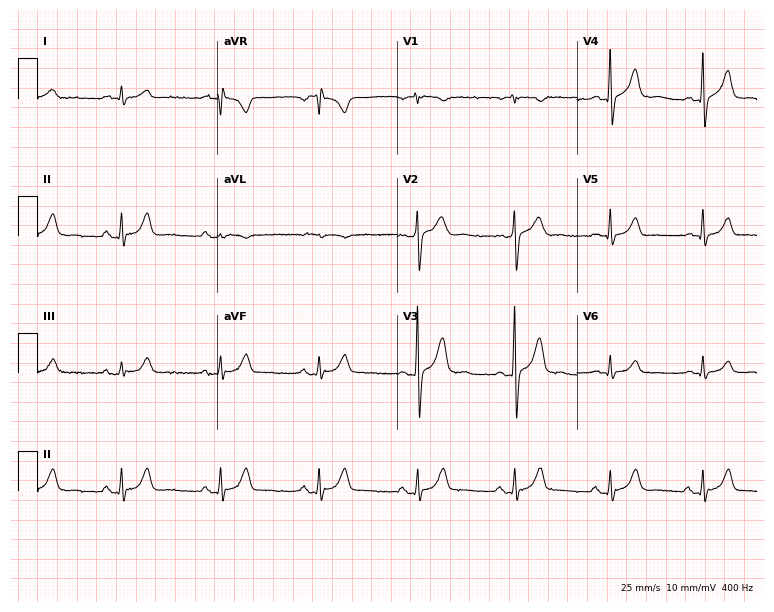
Resting 12-lead electrocardiogram (7.3-second recording at 400 Hz). Patient: a 56-year-old male. Read as a normal ECG.